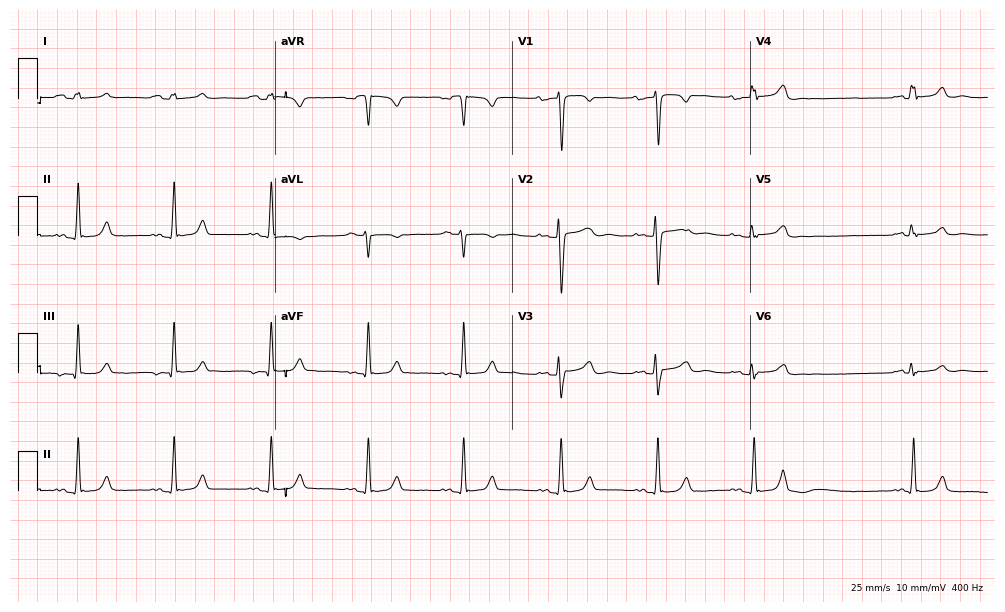
Resting 12-lead electrocardiogram. Patient: a 31-year-old woman. None of these six findings is recorded: first-degree AV block, right bundle branch block, left bundle branch block, sinus bradycardia, atrial fibrillation, sinus tachycardia.